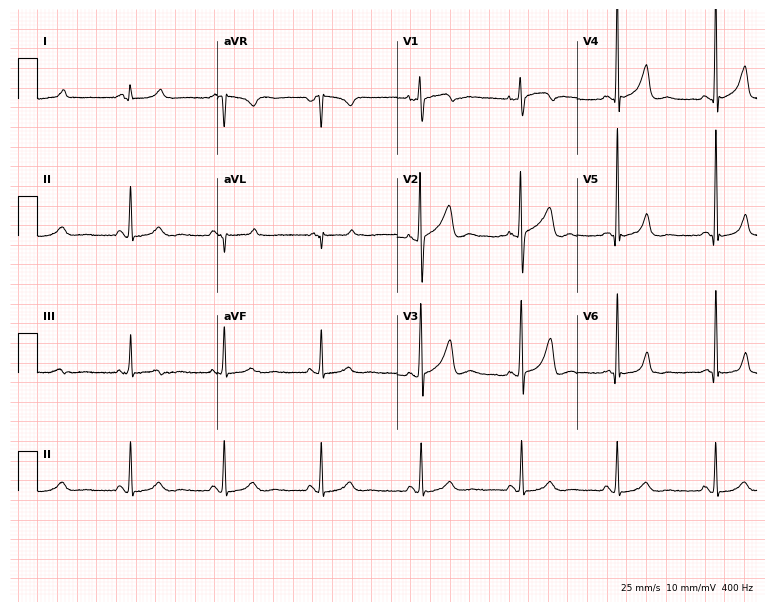
Resting 12-lead electrocardiogram. Patient: a female, 34 years old. Read as a normal ECG.